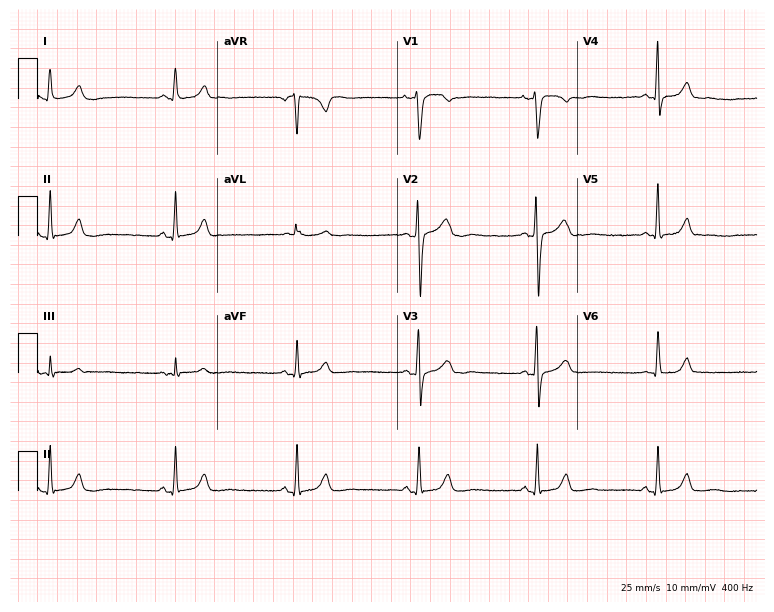
Resting 12-lead electrocardiogram (7.3-second recording at 400 Hz). Patient: a 37-year-old female. The tracing shows sinus bradycardia (a sinus rate of 50 beats per minute or less).